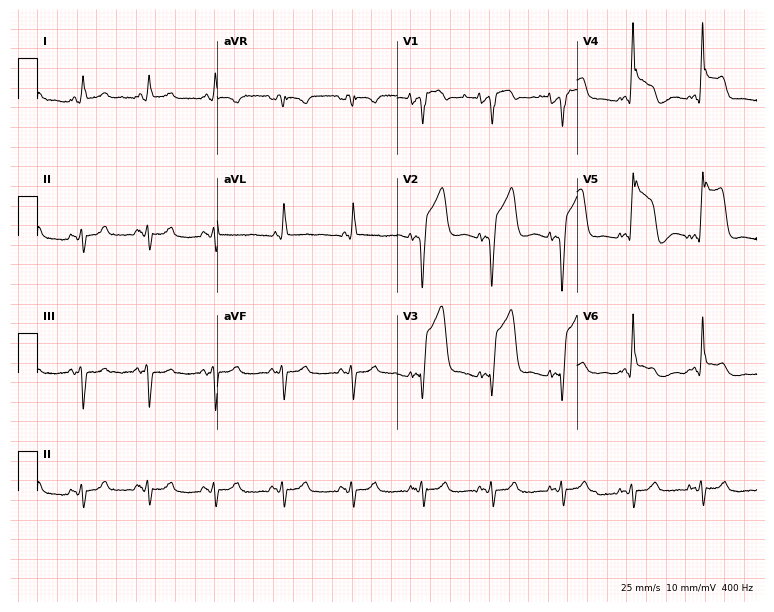
Standard 12-lead ECG recorded from a male patient, 69 years old. None of these six findings is recorded: first-degree AV block, right bundle branch block, left bundle branch block, sinus bradycardia, atrial fibrillation, sinus tachycardia. Findings outside these six are not listed.